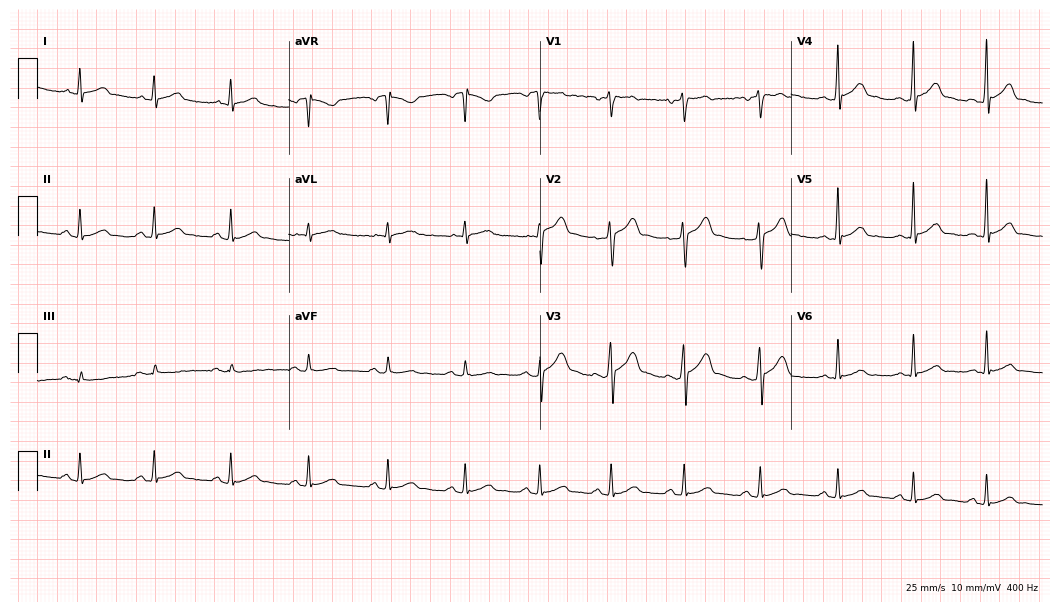
ECG — a male, 40 years old. Labelled as a normal ECG.